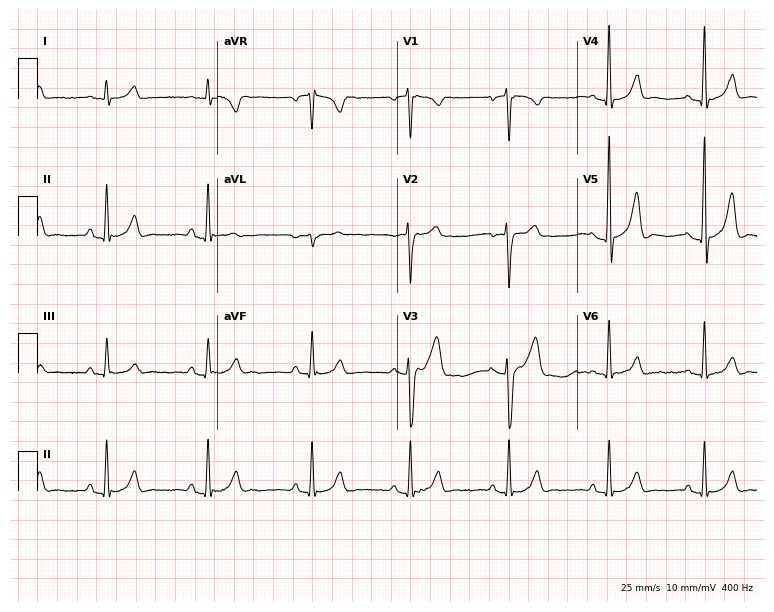
ECG — a male patient, 33 years old. Labelled as a normal ECG.